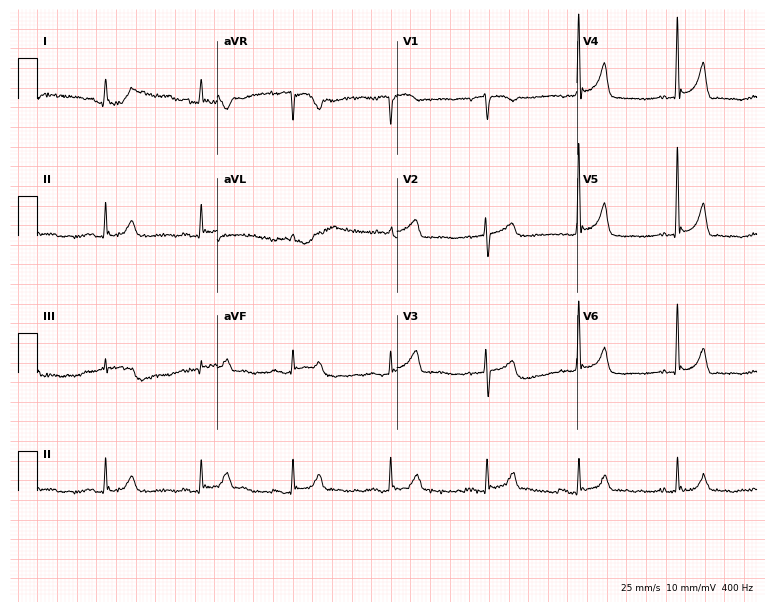
Resting 12-lead electrocardiogram. Patient: a 70-year-old female. Read as a normal ECG.